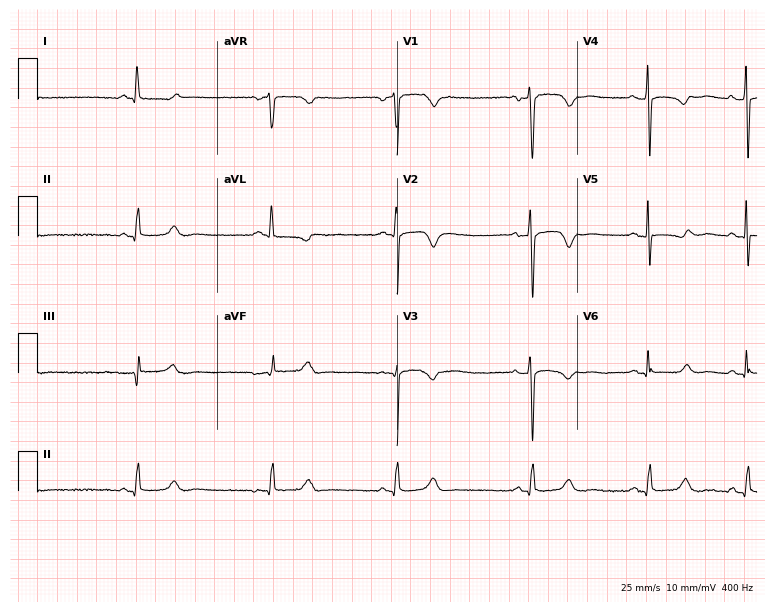
12-lead ECG from a 56-year-old woman (7.3-second recording at 400 Hz). No first-degree AV block, right bundle branch block, left bundle branch block, sinus bradycardia, atrial fibrillation or sinus tachycardia recorded for this tracing.